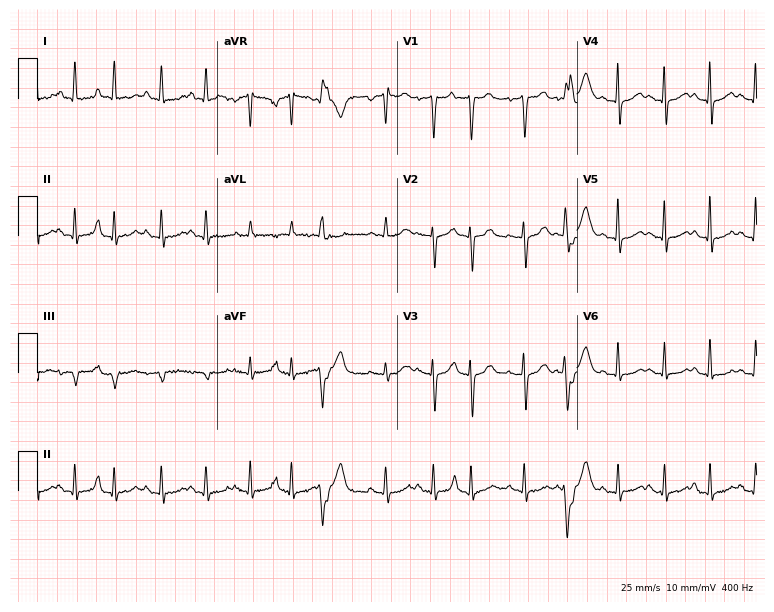
Standard 12-lead ECG recorded from a female, 67 years old (7.3-second recording at 400 Hz). The tracing shows sinus tachycardia (a sinus rate of 100 beats per minute or more).